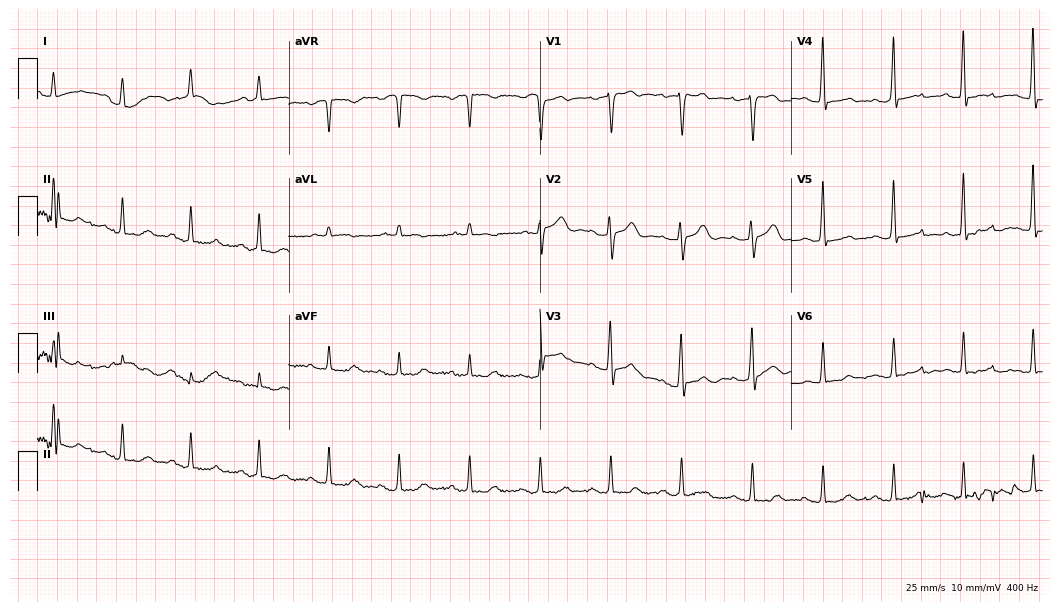
Electrocardiogram (10.2-second recording at 400 Hz), a 73-year-old male patient. Of the six screened findings (first-degree AV block, right bundle branch block, left bundle branch block, sinus bradycardia, atrial fibrillation, sinus tachycardia), none is recorded. Other findings, if any, are not listed.